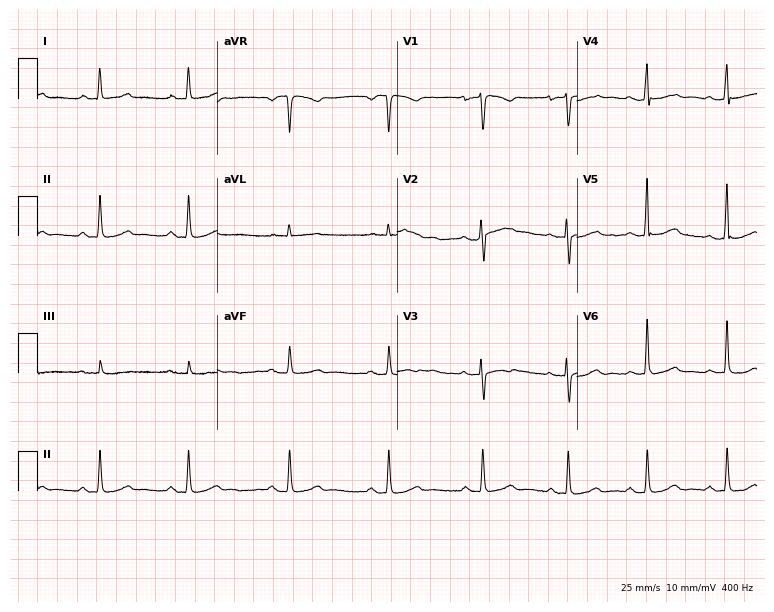
Standard 12-lead ECG recorded from a 42-year-old female patient. None of these six findings is recorded: first-degree AV block, right bundle branch block, left bundle branch block, sinus bradycardia, atrial fibrillation, sinus tachycardia. Findings outside these six are not listed.